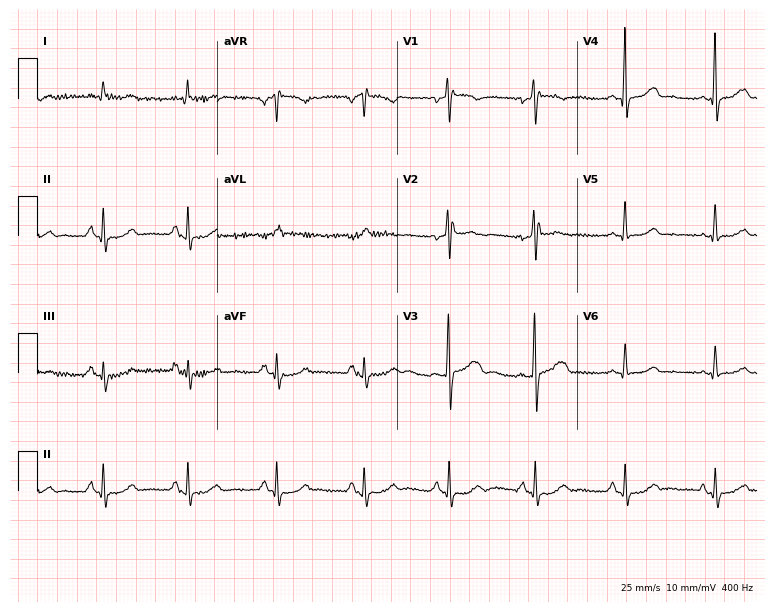
12-lead ECG from a man, 56 years old. Recorded interpretation: within normal limits.